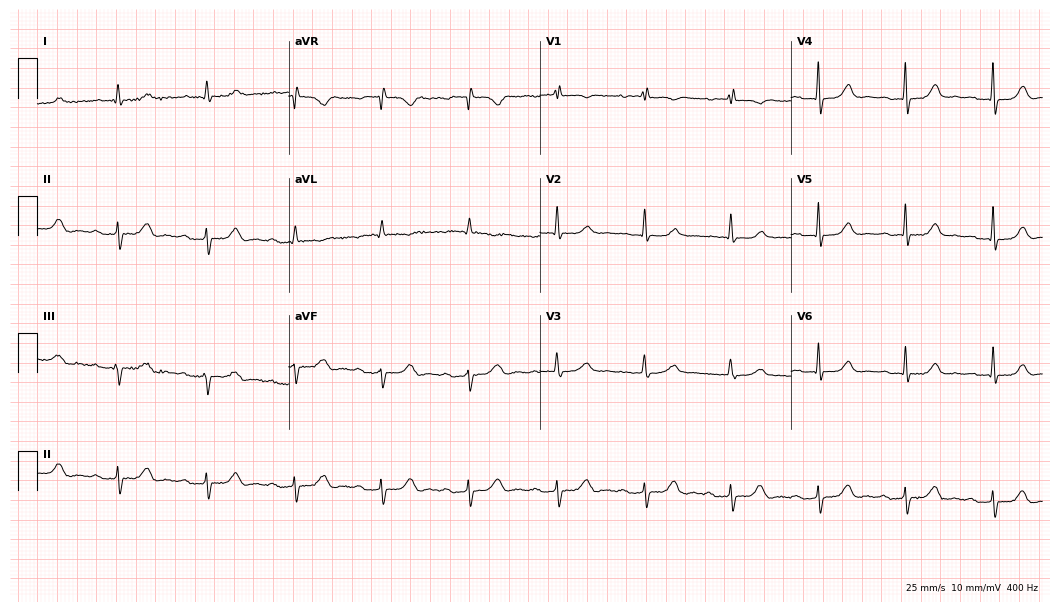
Standard 12-lead ECG recorded from an 82-year-old female patient (10.2-second recording at 400 Hz). The tracing shows first-degree AV block.